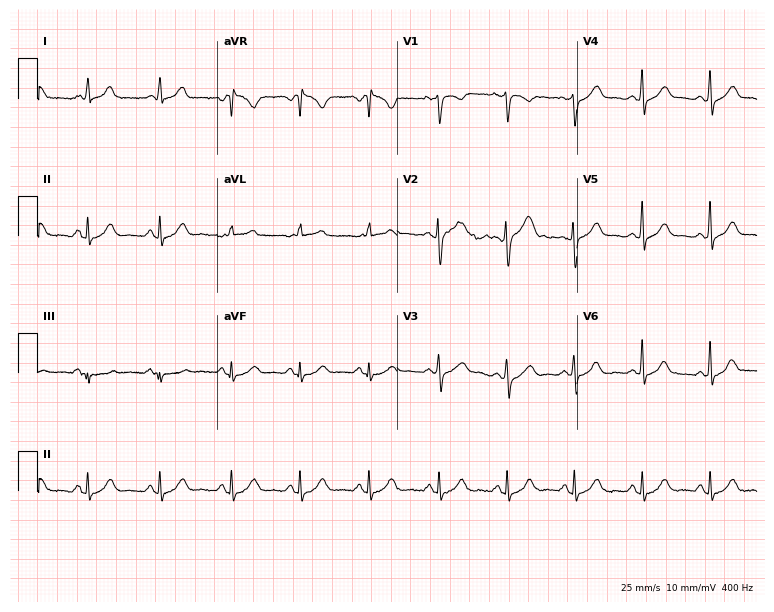
12-lead ECG from a female, 30 years old (7.3-second recording at 400 Hz). No first-degree AV block, right bundle branch block, left bundle branch block, sinus bradycardia, atrial fibrillation or sinus tachycardia recorded for this tracing. Findings outside these six are not listed.